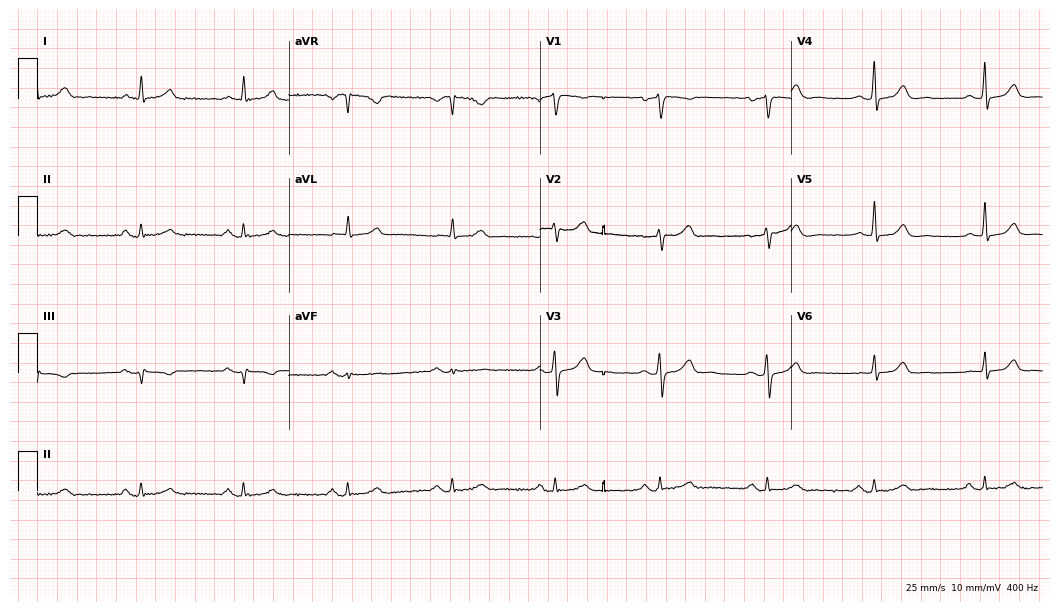
12-lead ECG from a male, 53 years old. Recorded interpretation: within normal limits.